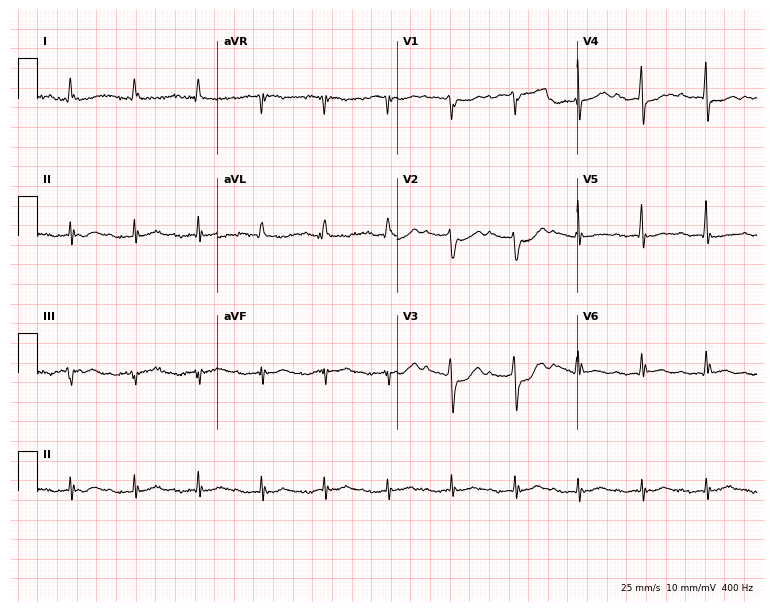
12-lead ECG from a male patient, 78 years old. Findings include first-degree AV block.